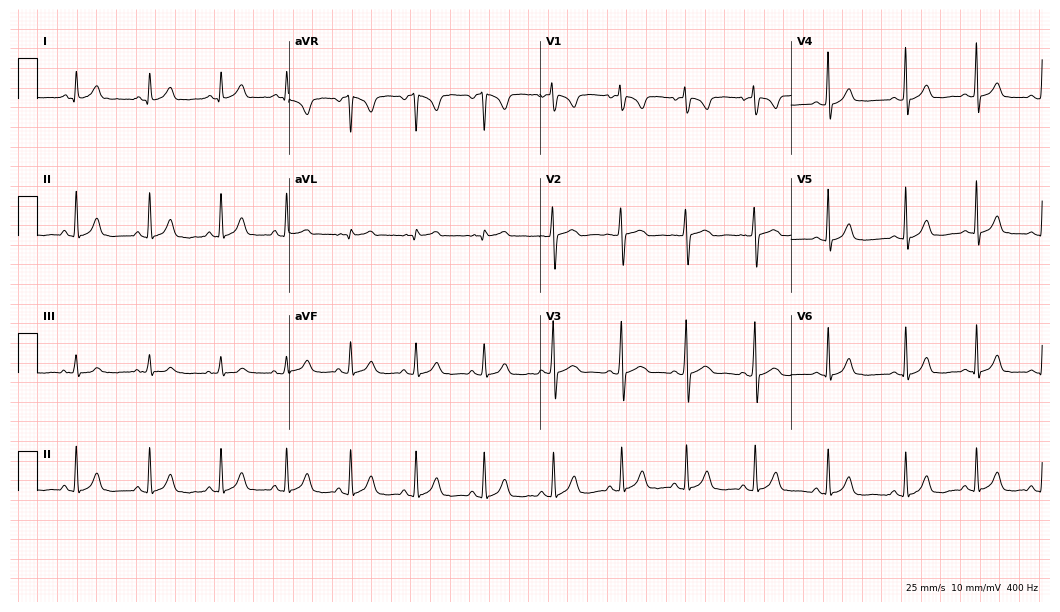
Standard 12-lead ECG recorded from a woman, 18 years old. Read as a normal ECG.